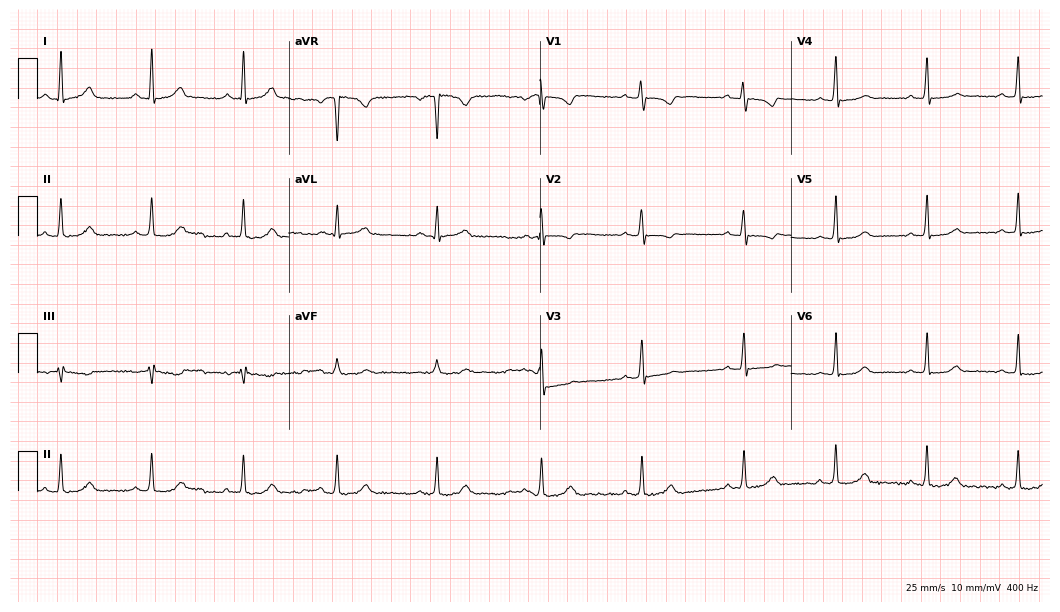
Electrocardiogram, a 23-year-old woman. Of the six screened findings (first-degree AV block, right bundle branch block, left bundle branch block, sinus bradycardia, atrial fibrillation, sinus tachycardia), none is recorded.